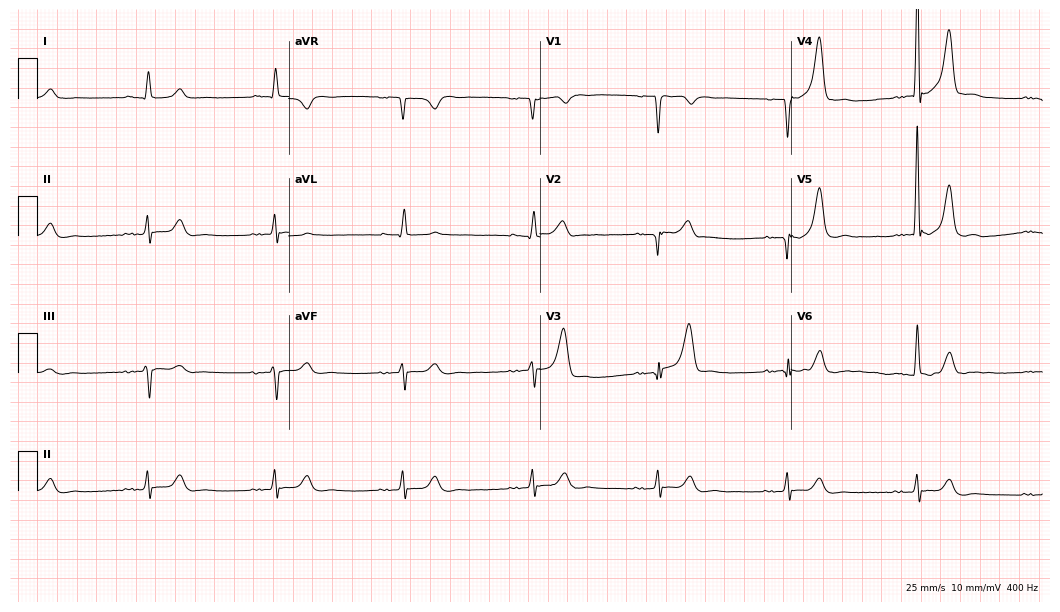
12-lead ECG from a male, 72 years old. Findings include sinus bradycardia (a sinus rate of 50 beats per minute or less).